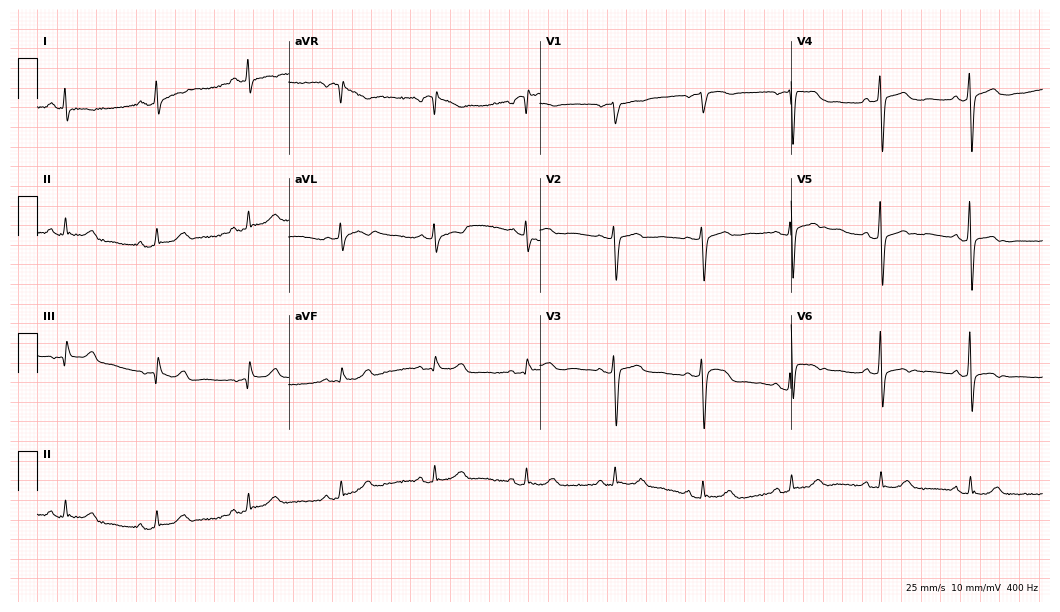
Standard 12-lead ECG recorded from a 63-year-old female patient (10.2-second recording at 400 Hz). Read as a normal ECG.